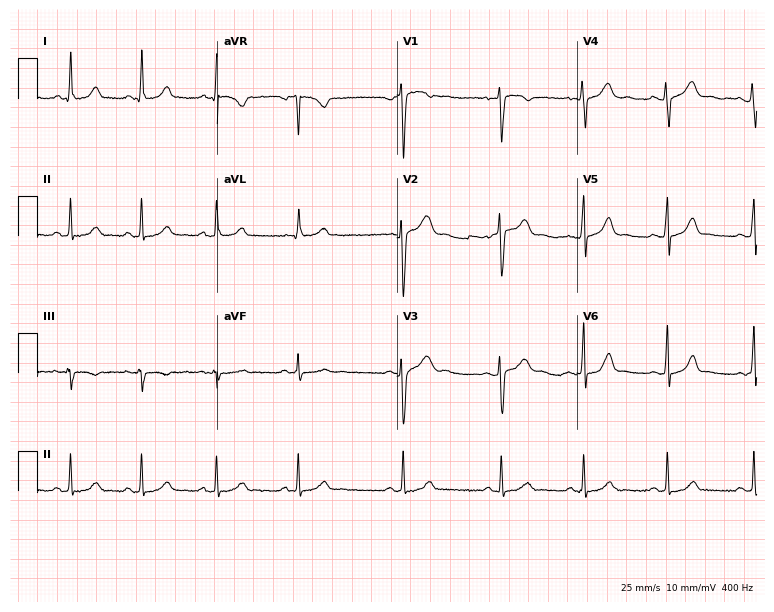
12-lead ECG from a 20-year-old female. Recorded interpretation: within normal limits.